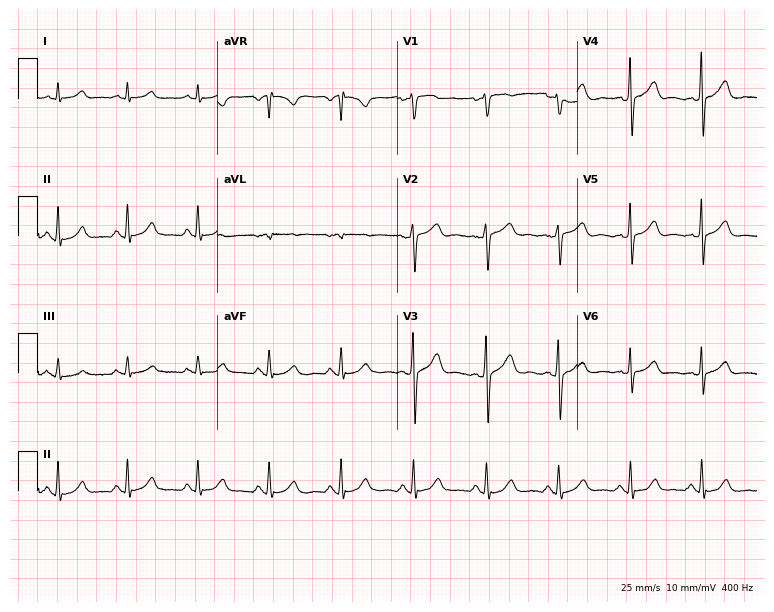
12-lead ECG from a man, 46 years old. Screened for six findings — first-degree AV block, right bundle branch block, left bundle branch block, sinus bradycardia, atrial fibrillation, sinus tachycardia — none is recorded. Only these six findings were labelled.